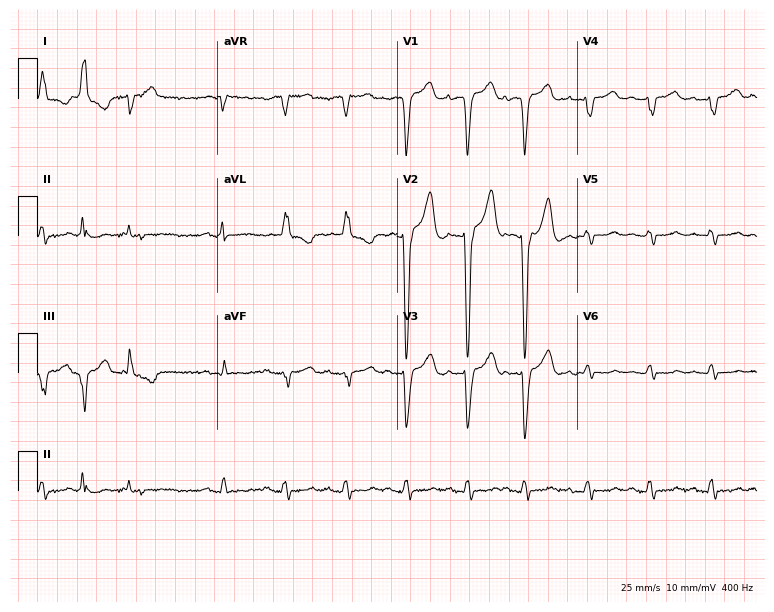
12-lead ECG (7.3-second recording at 400 Hz) from a female patient, 85 years old. Screened for six findings — first-degree AV block, right bundle branch block (RBBB), left bundle branch block (LBBB), sinus bradycardia, atrial fibrillation (AF), sinus tachycardia — none is recorded. Other findings, if any, are not listed.